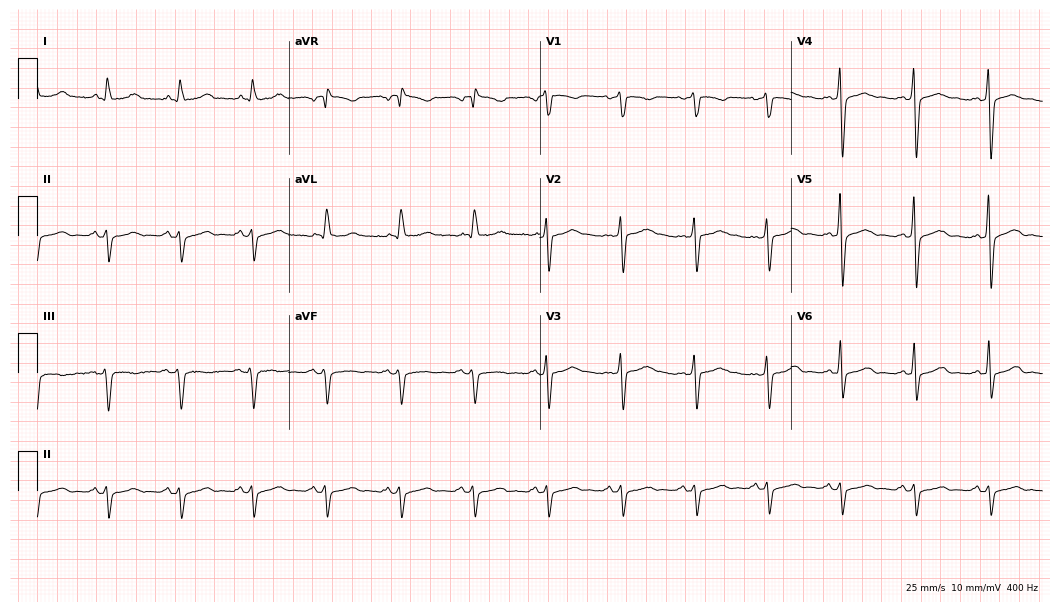
ECG (10.2-second recording at 400 Hz) — a female, 59 years old. Screened for six findings — first-degree AV block, right bundle branch block (RBBB), left bundle branch block (LBBB), sinus bradycardia, atrial fibrillation (AF), sinus tachycardia — none is recorded. Only these six findings were labelled.